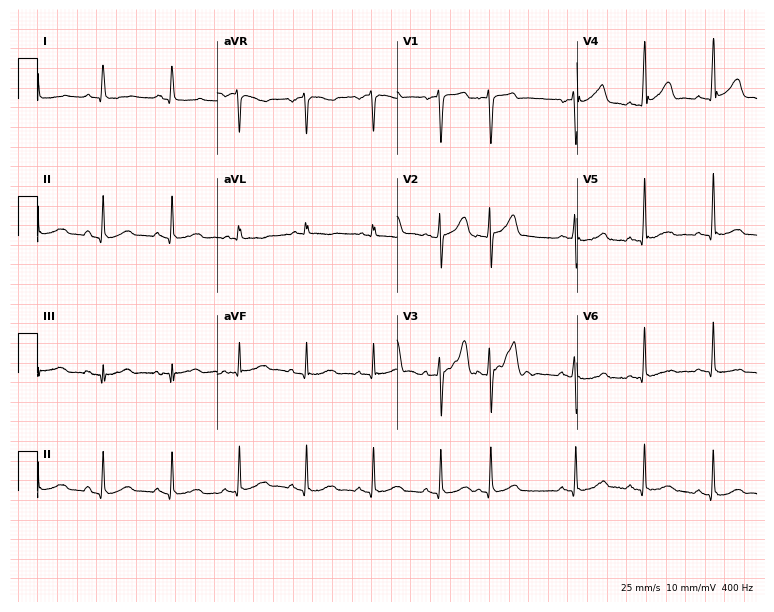
12-lead ECG from a male, 54 years old (7.3-second recording at 400 Hz). No first-degree AV block, right bundle branch block (RBBB), left bundle branch block (LBBB), sinus bradycardia, atrial fibrillation (AF) or sinus tachycardia recorded for this tracing.